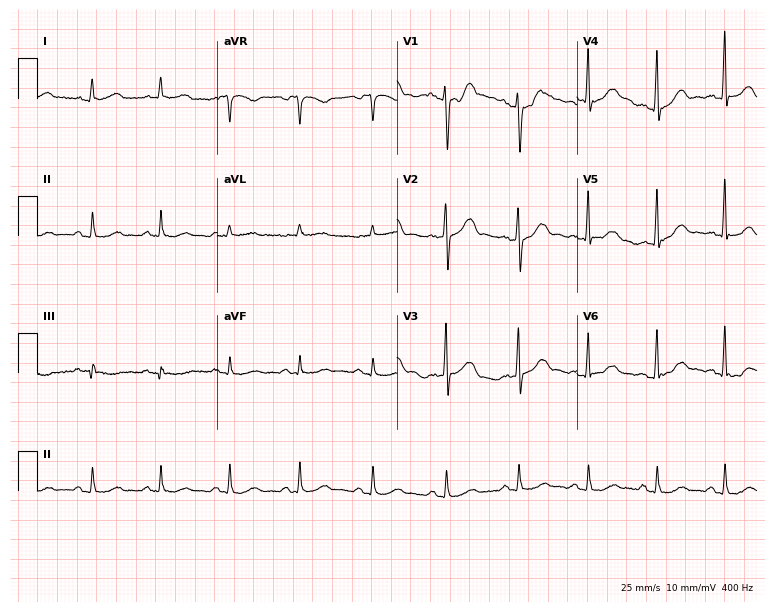
ECG (7.3-second recording at 400 Hz) — a male, 64 years old. Labelled as a normal ECG.